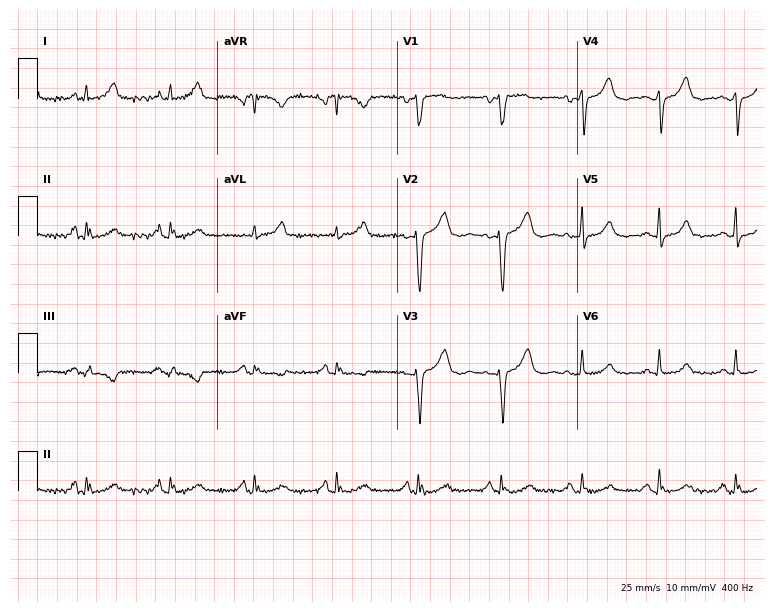
Resting 12-lead electrocardiogram (7.3-second recording at 400 Hz). Patient: a 55-year-old female. None of these six findings is recorded: first-degree AV block, right bundle branch block, left bundle branch block, sinus bradycardia, atrial fibrillation, sinus tachycardia.